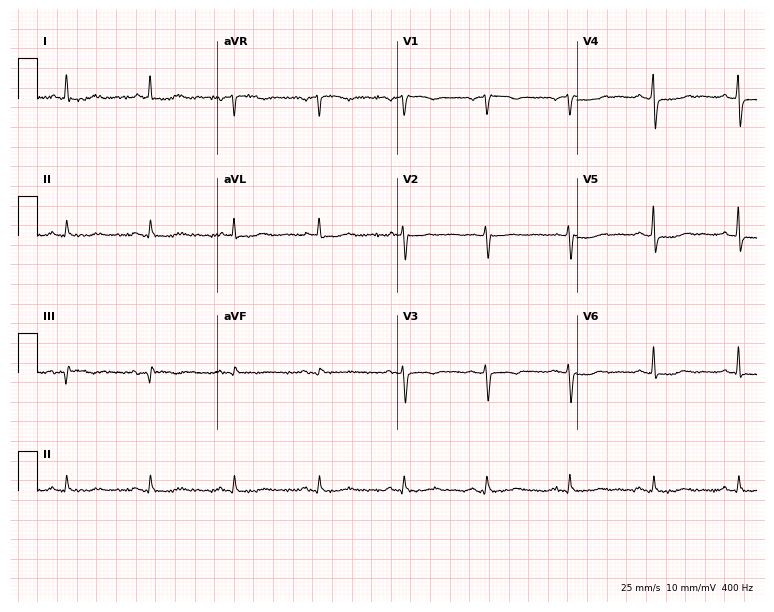
12-lead ECG from a 65-year-old female patient (7.3-second recording at 400 Hz). No first-degree AV block, right bundle branch block, left bundle branch block, sinus bradycardia, atrial fibrillation or sinus tachycardia recorded for this tracing.